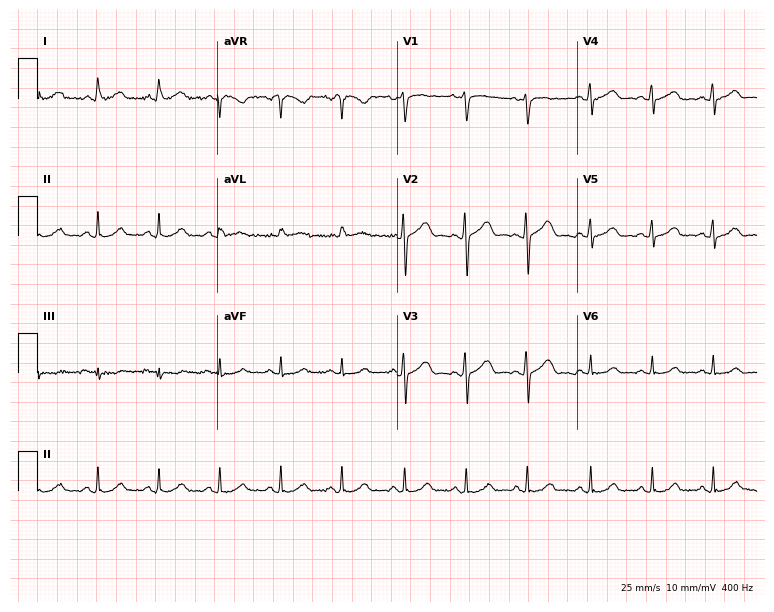
ECG — a female, 56 years old. Labelled as a normal ECG.